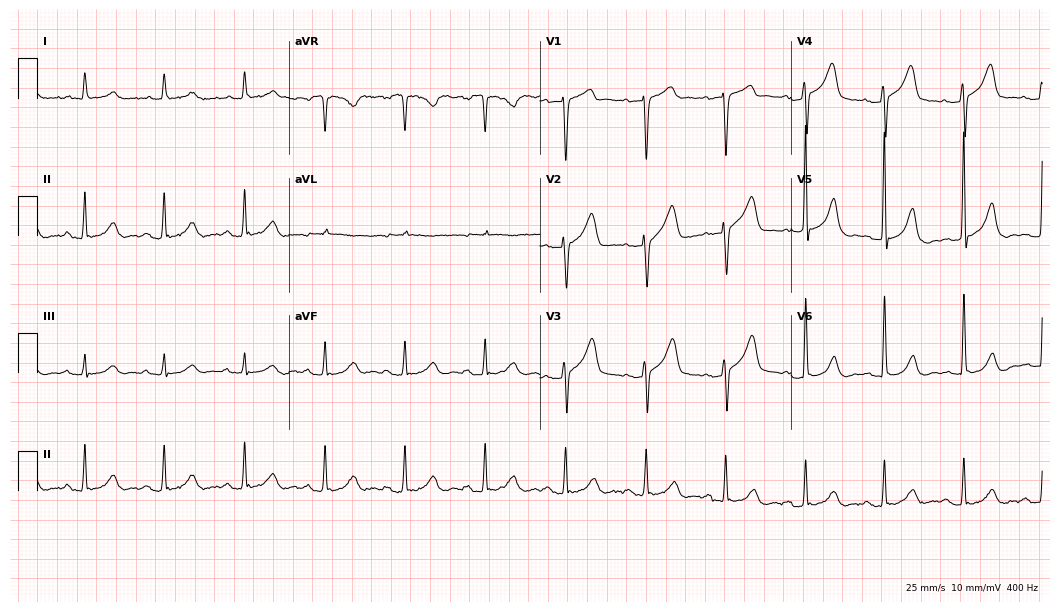
12-lead ECG from a man, 75 years old. Recorded interpretation: within normal limits.